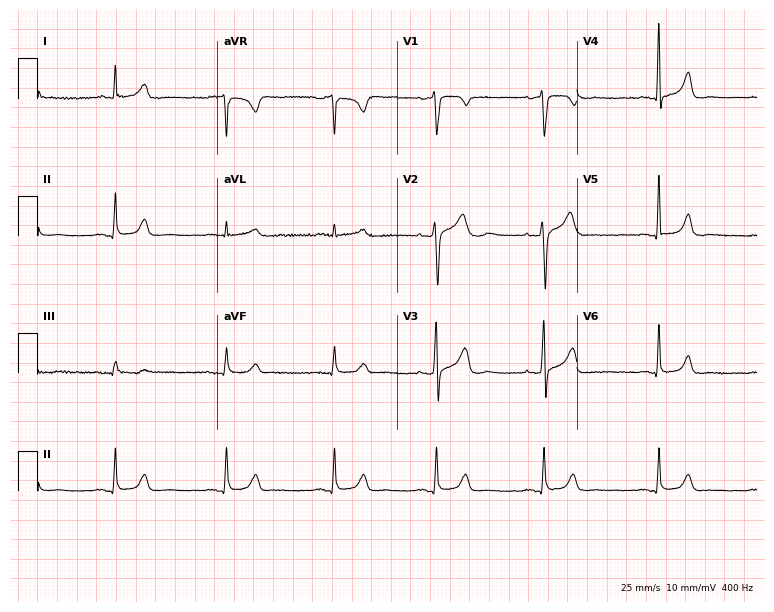
Standard 12-lead ECG recorded from a man, 38 years old. None of these six findings is recorded: first-degree AV block, right bundle branch block, left bundle branch block, sinus bradycardia, atrial fibrillation, sinus tachycardia. Only these six findings were labelled.